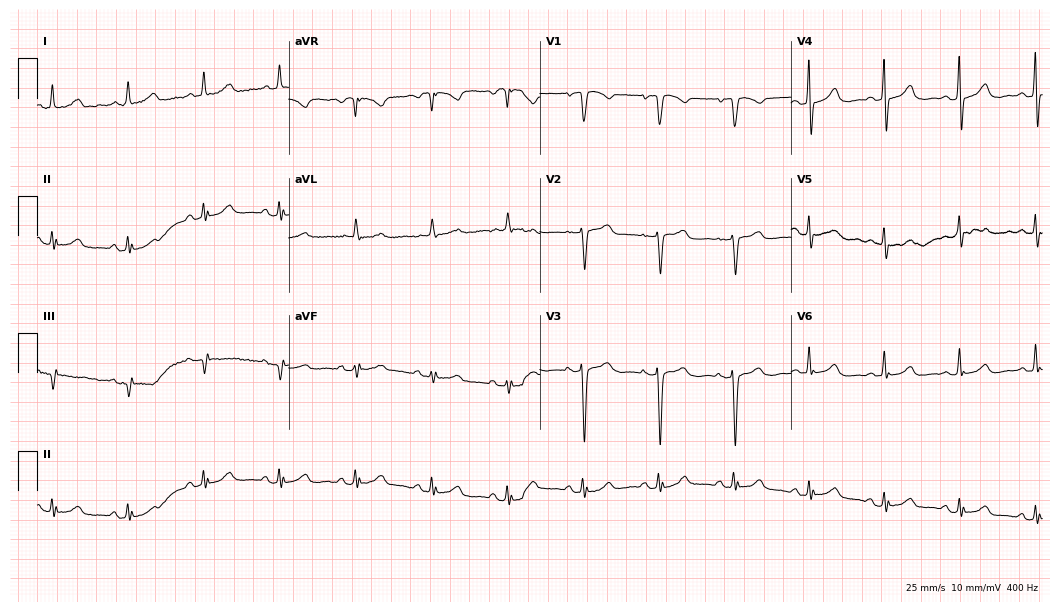
Standard 12-lead ECG recorded from a woman, 80 years old. Read as a normal ECG.